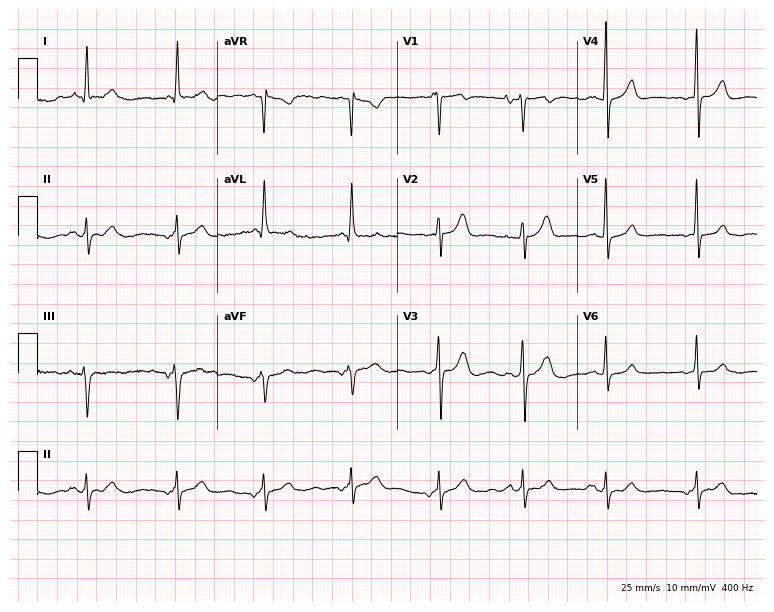
12-lead ECG from a male, 82 years old (7.3-second recording at 400 Hz). No first-degree AV block, right bundle branch block, left bundle branch block, sinus bradycardia, atrial fibrillation or sinus tachycardia recorded for this tracing.